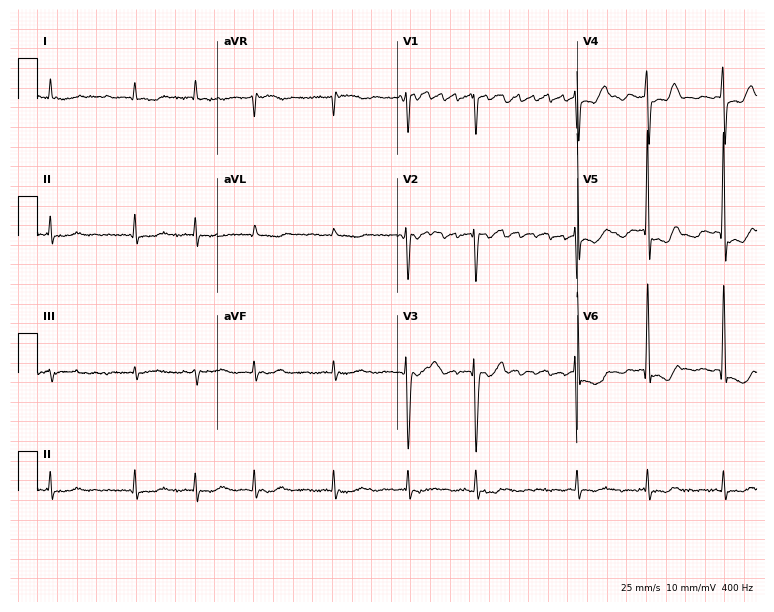
12-lead ECG from a 72-year-old man (7.3-second recording at 400 Hz). Shows atrial fibrillation (AF).